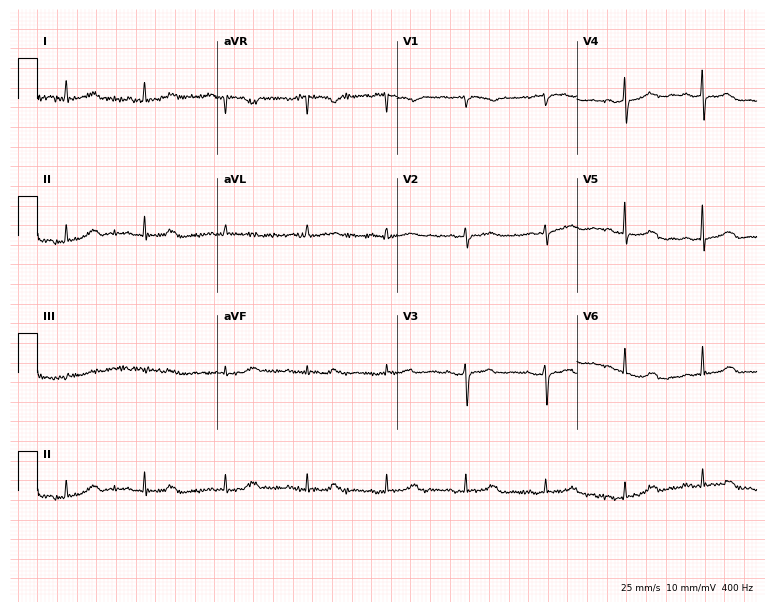
12-lead ECG from a 63-year-old female. Screened for six findings — first-degree AV block, right bundle branch block (RBBB), left bundle branch block (LBBB), sinus bradycardia, atrial fibrillation (AF), sinus tachycardia — none is recorded. Only these six findings were labelled.